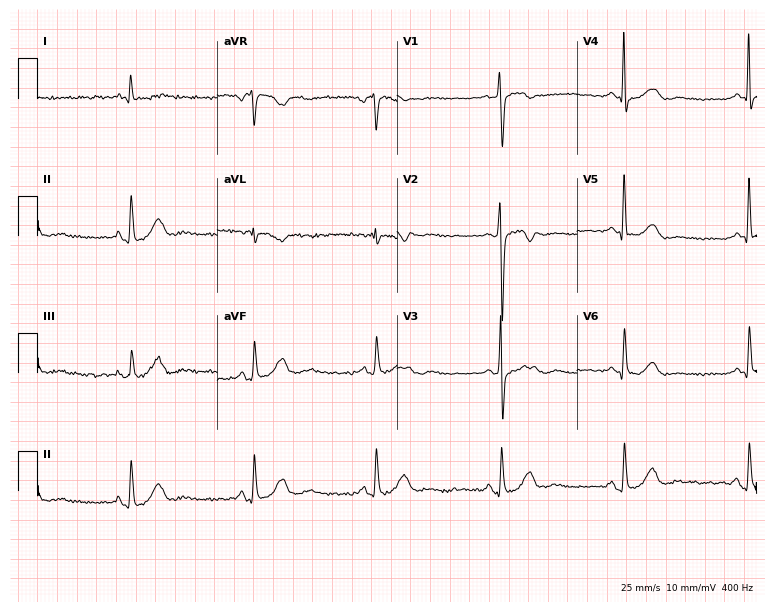
ECG — a female patient, 75 years old. Screened for six findings — first-degree AV block, right bundle branch block, left bundle branch block, sinus bradycardia, atrial fibrillation, sinus tachycardia — none is recorded.